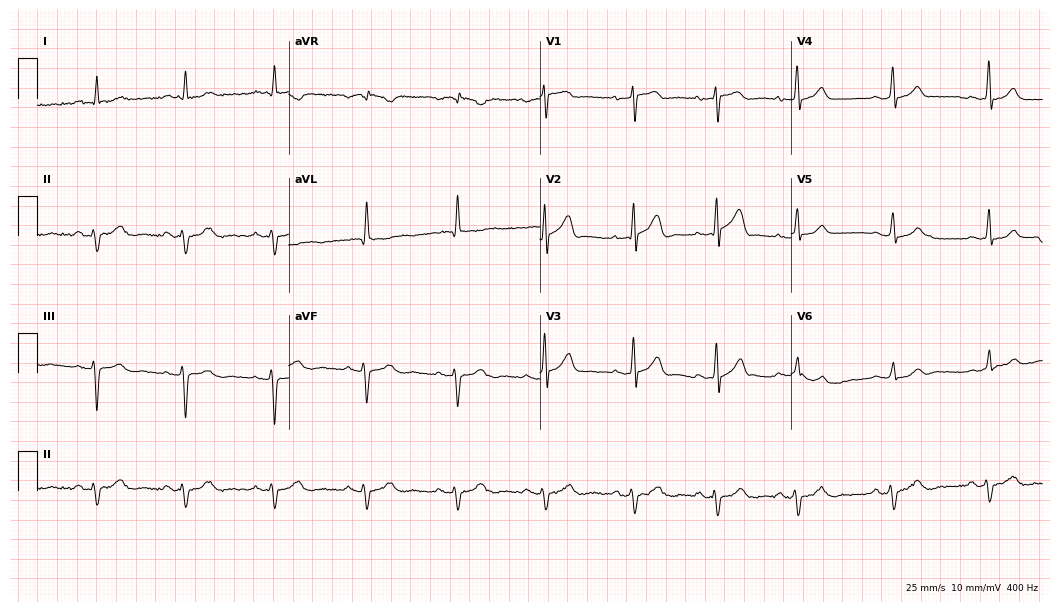
12-lead ECG from a 76-year-old male. Screened for six findings — first-degree AV block, right bundle branch block, left bundle branch block, sinus bradycardia, atrial fibrillation, sinus tachycardia — none is recorded. Findings outside these six are not listed.